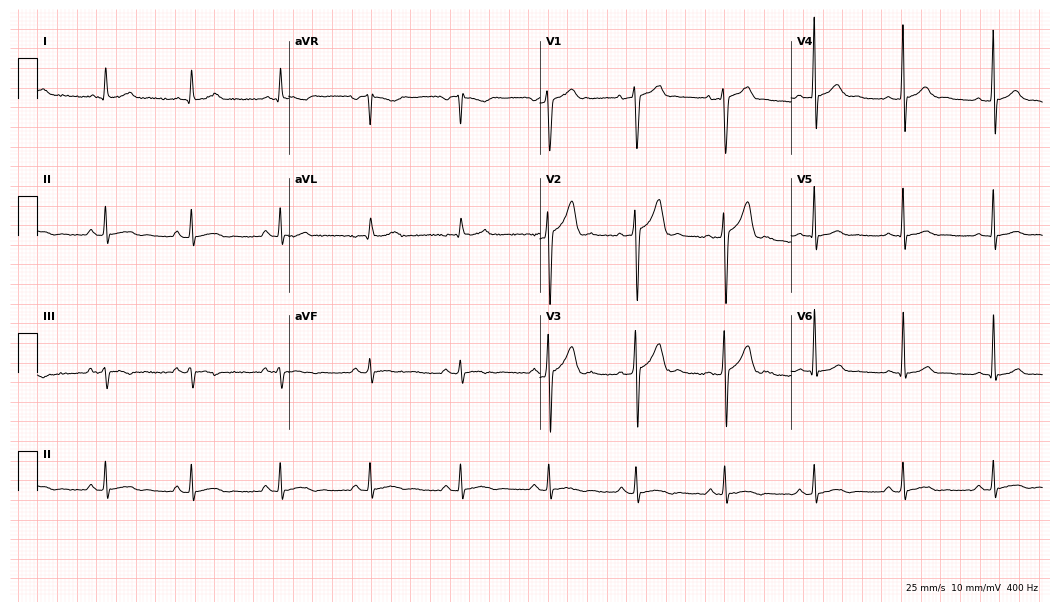
Resting 12-lead electrocardiogram. Patient: a 24-year-old man. Read as a normal ECG.